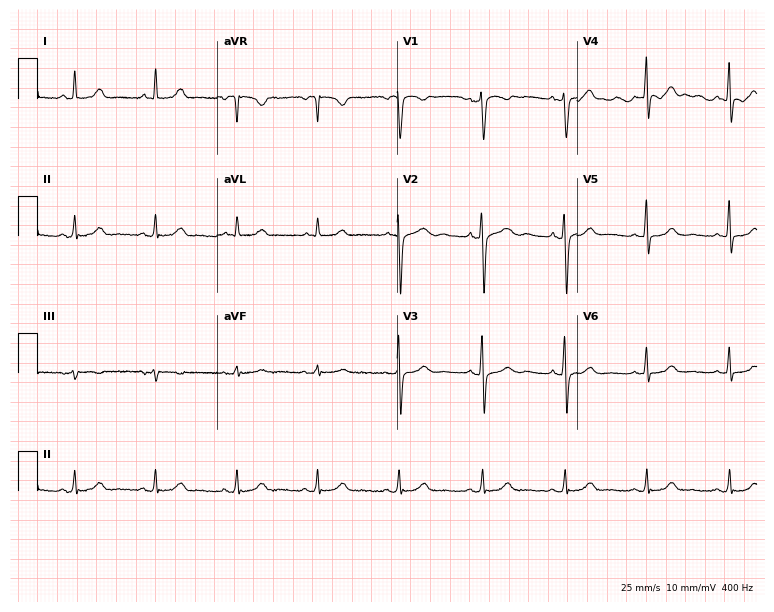
Electrocardiogram, a 54-year-old woman. Overall reading on record: normal ECG.